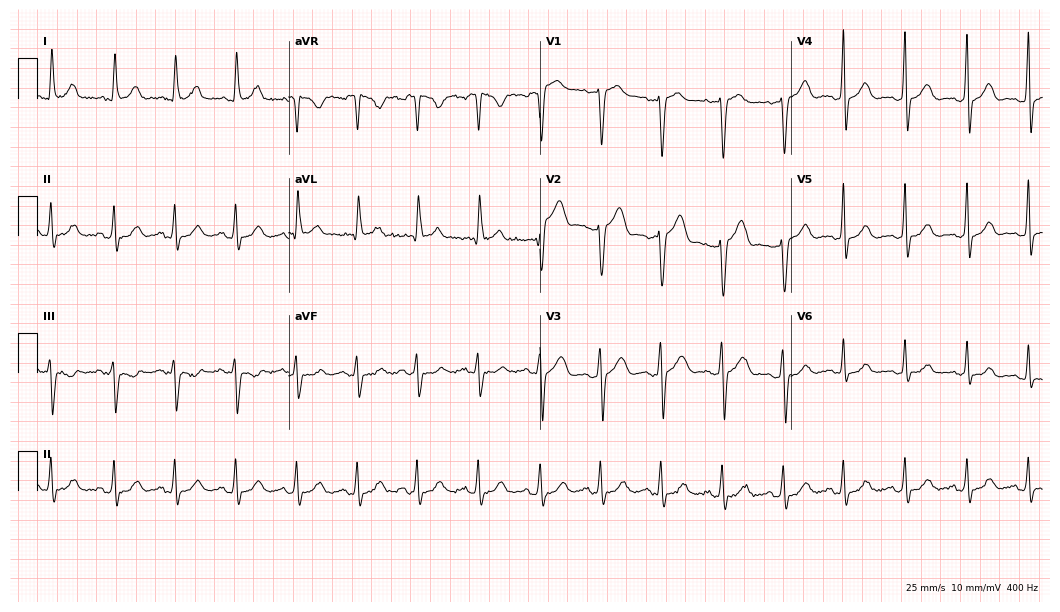
Resting 12-lead electrocardiogram (10.2-second recording at 400 Hz). Patient: a female, 58 years old. Read as a normal ECG.